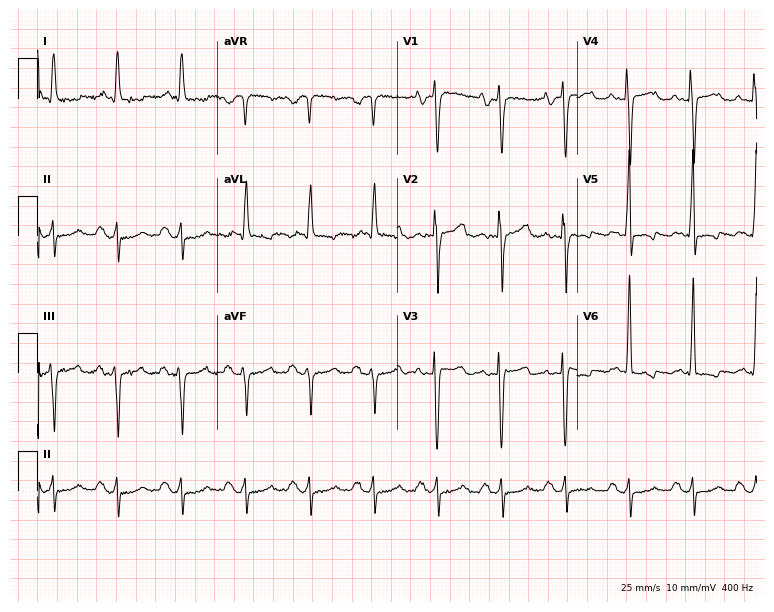
12-lead ECG from a male patient, 48 years old. Screened for six findings — first-degree AV block, right bundle branch block, left bundle branch block, sinus bradycardia, atrial fibrillation, sinus tachycardia — none is recorded. Findings outside these six are not listed.